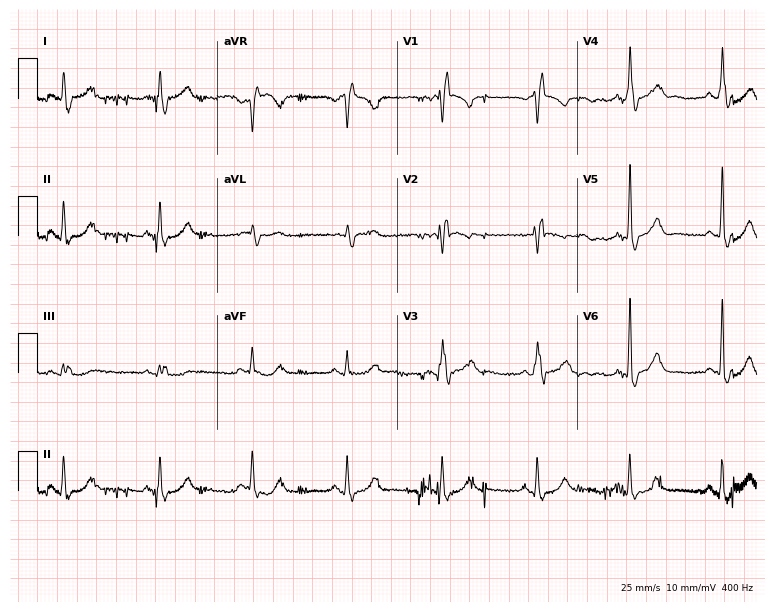
12-lead ECG (7.3-second recording at 400 Hz) from a male, 51 years old. Findings include right bundle branch block (RBBB).